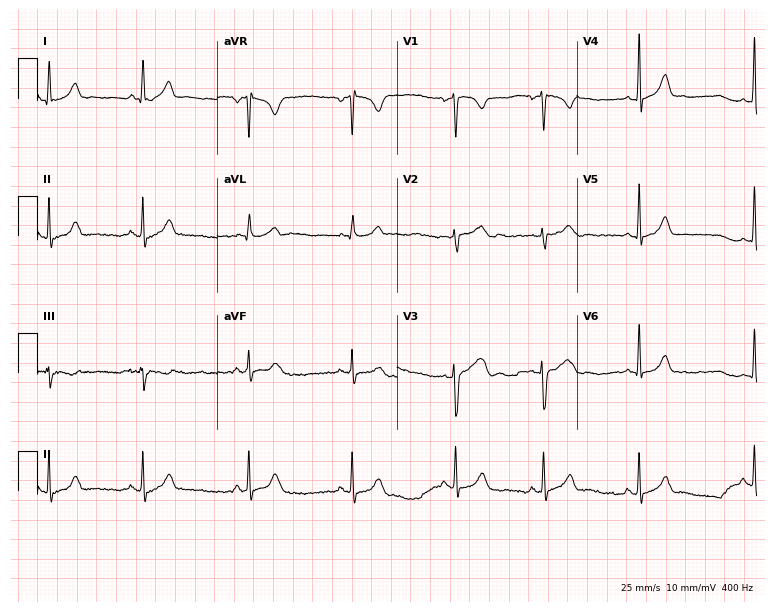
Resting 12-lead electrocardiogram (7.3-second recording at 400 Hz). Patient: a female, 20 years old. Read as a normal ECG.